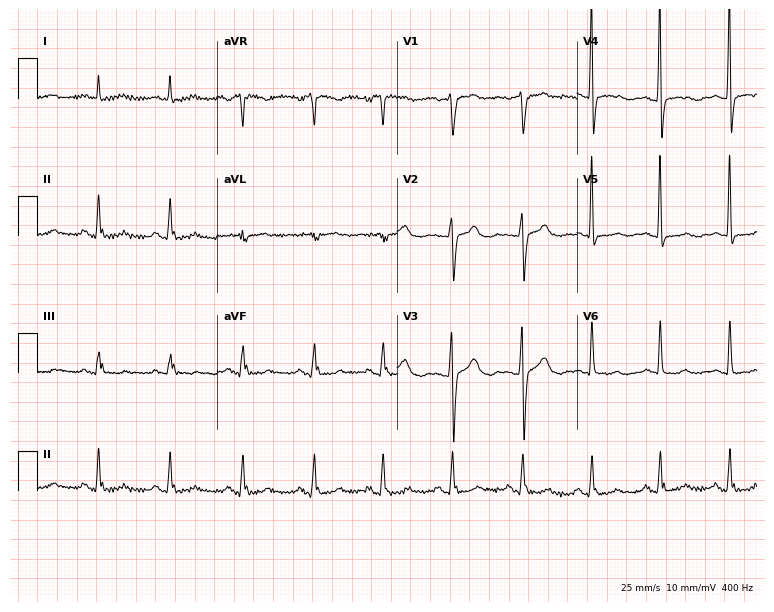
Standard 12-lead ECG recorded from a 50-year-old female (7.3-second recording at 400 Hz). Read as a normal ECG.